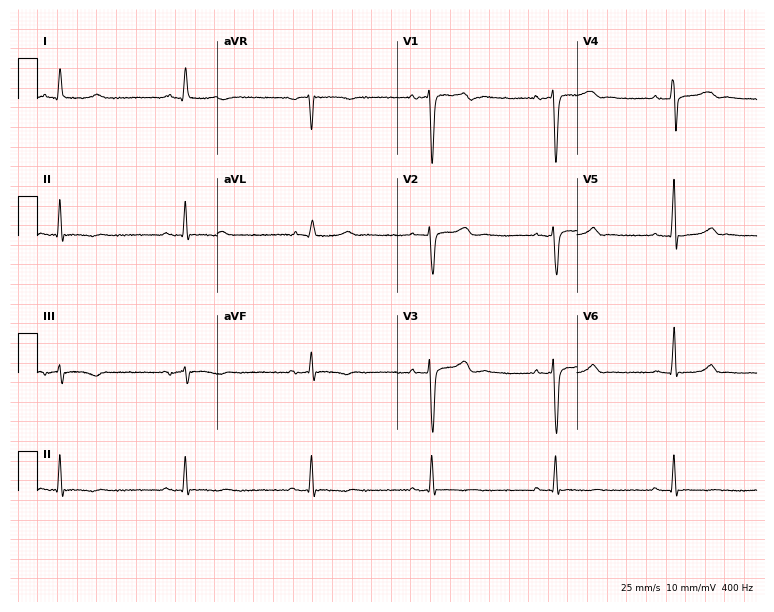
Electrocardiogram (7.3-second recording at 400 Hz), a man, 70 years old. Interpretation includes sinus bradycardia (a sinus rate of 50 beats per minute or less).